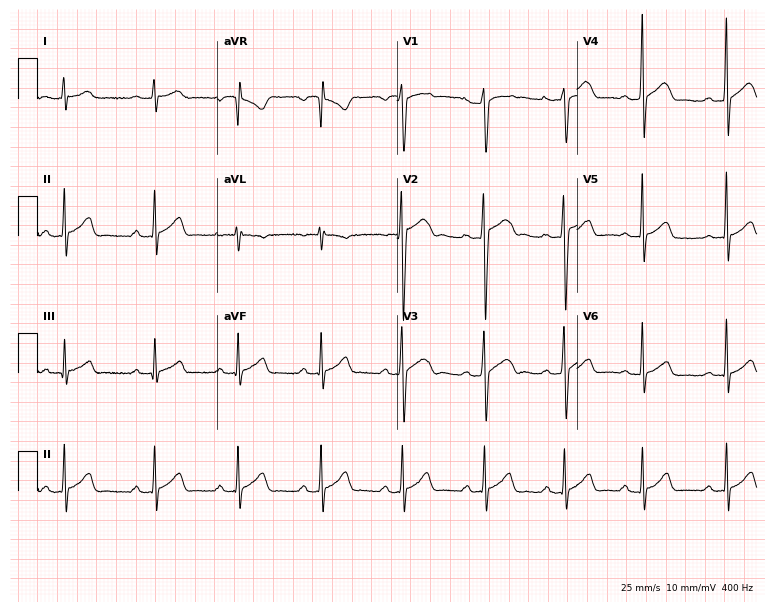
12-lead ECG from a 19-year-old male patient. Recorded interpretation: within normal limits.